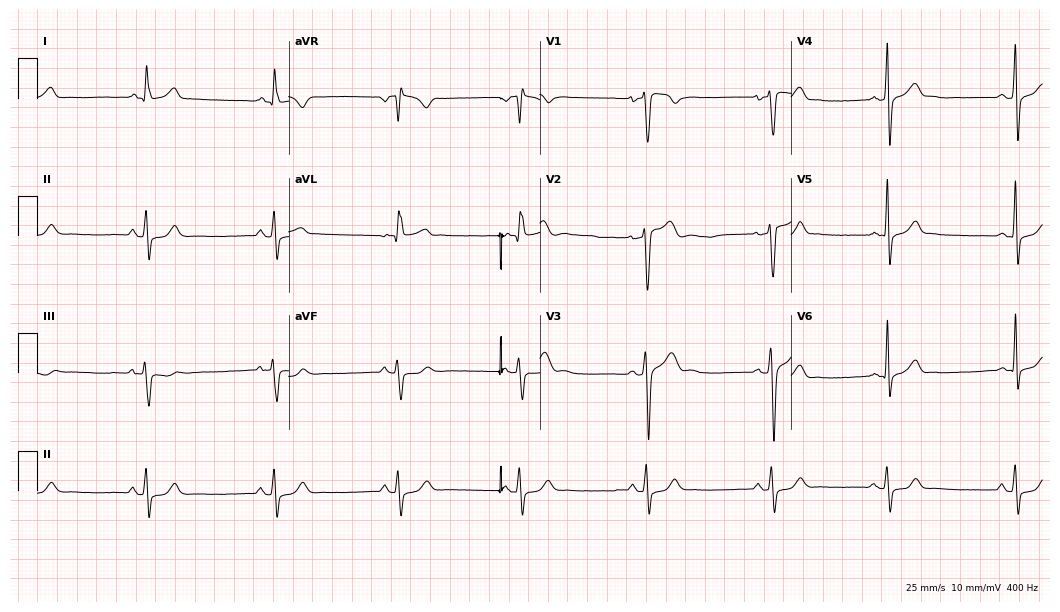
12-lead ECG from a 28-year-old man. Shows sinus bradycardia (a sinus rate of 50 beats per minute or less).